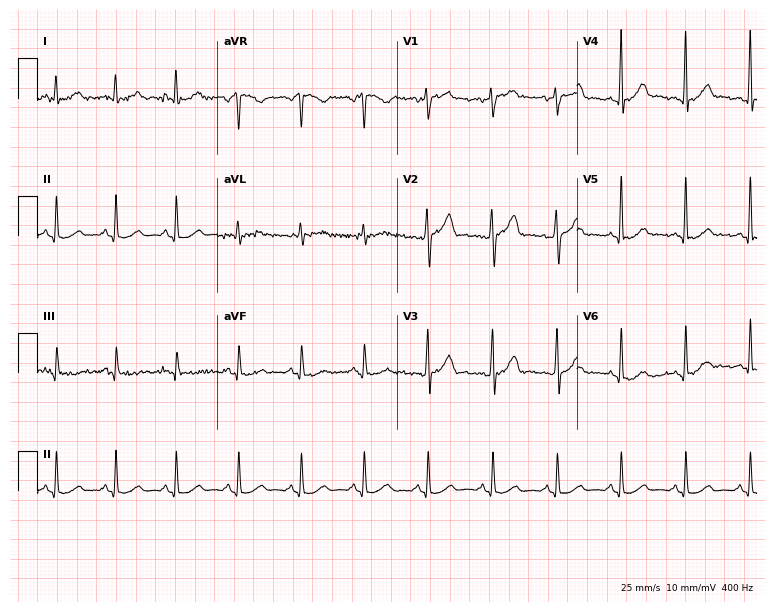
Resting 12-lead electrocardiogram (7.3-second recording at 400 Hz). Patient: a male, 43 years old. None of these six findings is recorded: first-degree AV block, right bundle branch block, left bundle branch block, sinus bradycardia, atrial fibrillation, sinus tachycardia. Only these six findings were labelled.